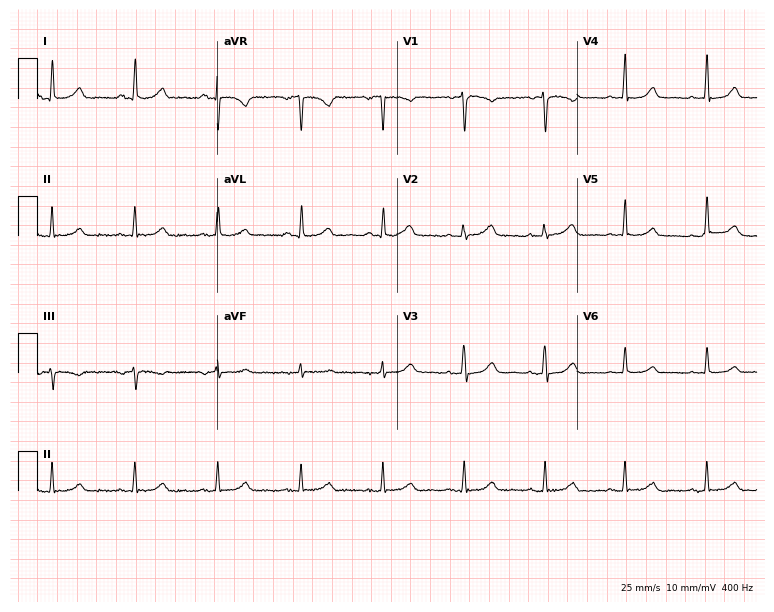
12-lead ECG from a woman, 65 years old. Recorded interpretation: within normal limits.